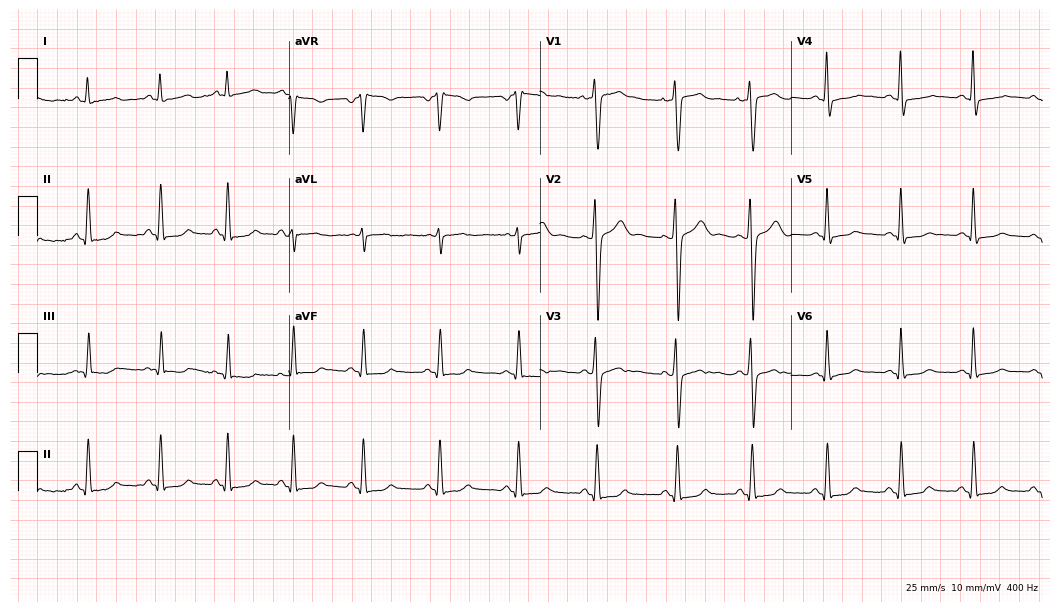
Resting 12-lead electrocardiogram (10.2-second recording at 400 Hz). Patient: a 24-year-old female. None of these six findings is recorded: first-degree AV block, right bundle branch block, left bundle branch block, sinus bradycardia, atrial fibrillation, sinus tachycardia. Other findings, if any, are not listed.